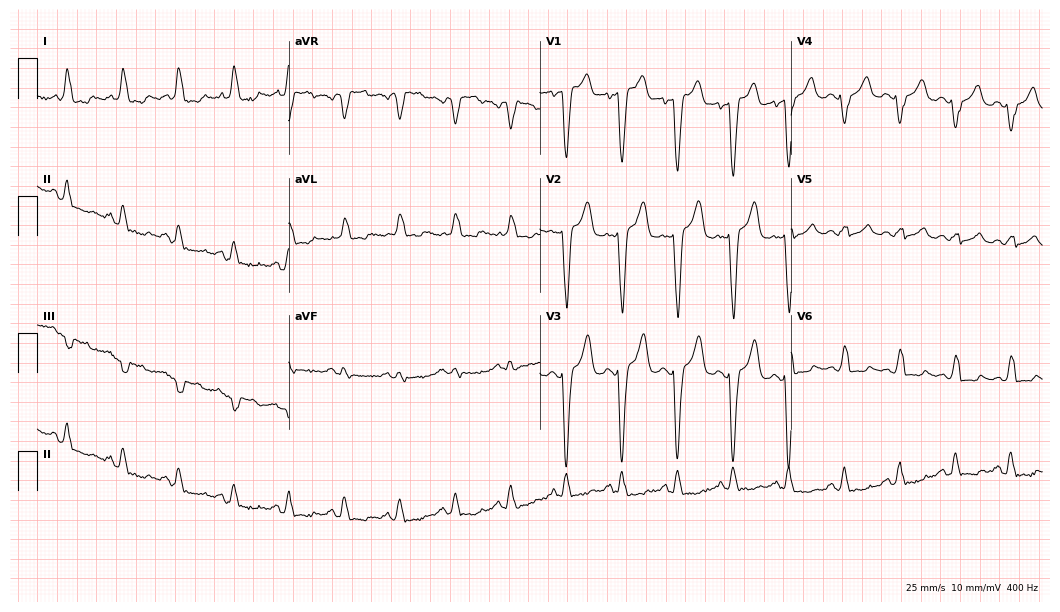
Resting 12-lead electrocardiogram. Patient: a female, 72 years old. The tracing shows left bundle branch block (LBBB), sinus tachycardia (a sinus rate of 100 beats per minute or more).